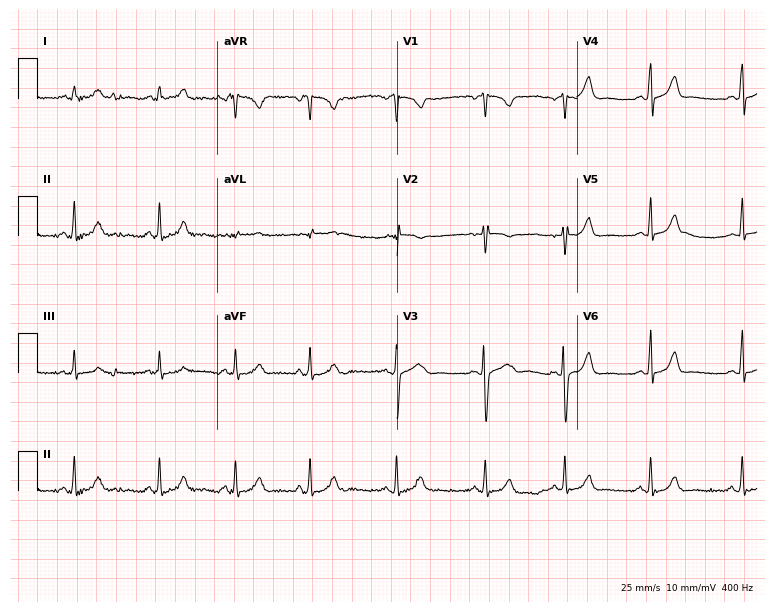
Electrocardiogram (7.3-second recording at 400 Hz), a woman, 19 years old. Of the six screened findings (first-degree AV block, right bundle branch block (RBBB), left bundle branch block (LBBB), sinus bradycardia, atrial fibrillation (AF), sinus tachycardia), none is recorded.